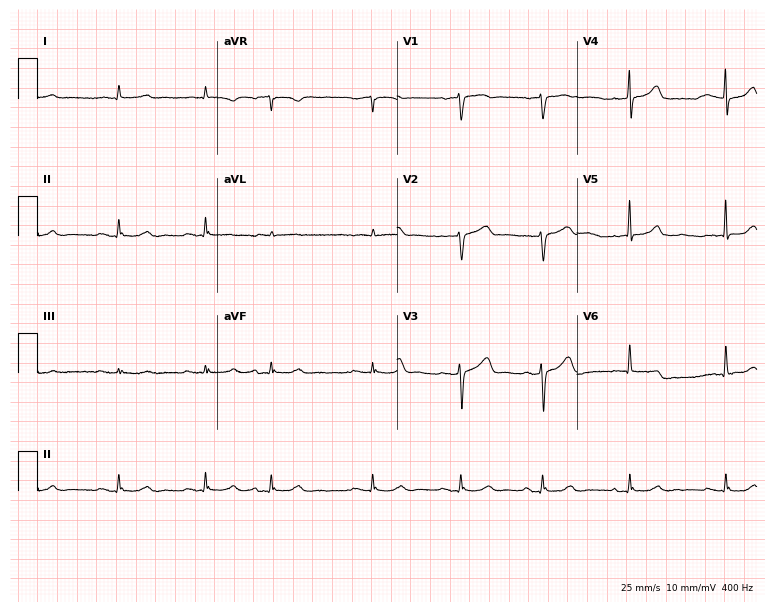
Standard 12-lead ECG recorded from a male, 79 years old. None of these six findings is recorded: first-degree AV block, right bundle branch block, left bundle branch block, sinus bradycardia, atrial fibrillation, sinus tachycardia.